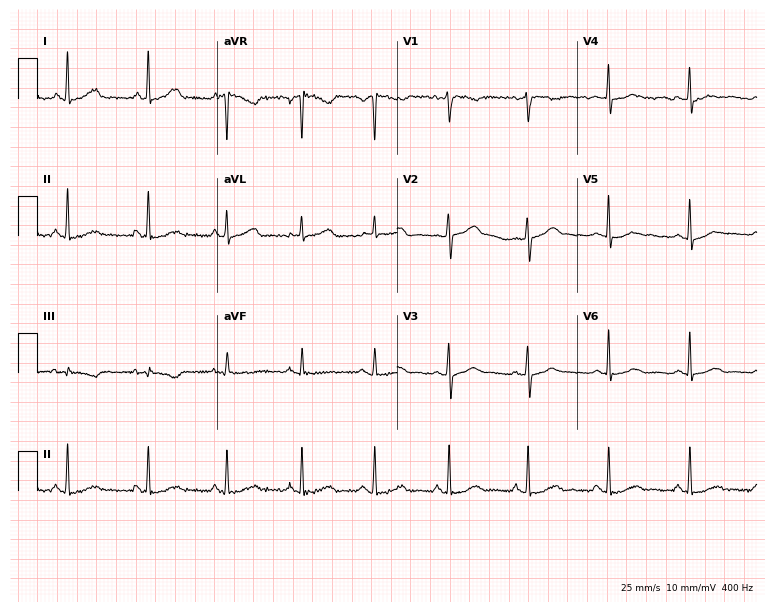
Electrocardiogram (7.3-second recording at 400 Hz), a 43-year-old female patient. Of the six screened findings (first-degree AV block, right bundle branch block (RBBB), left bundle branch block (LBBB), sinus bradycardia, atrial fibrillation (AF), sinus tachycardia), none is recorded.